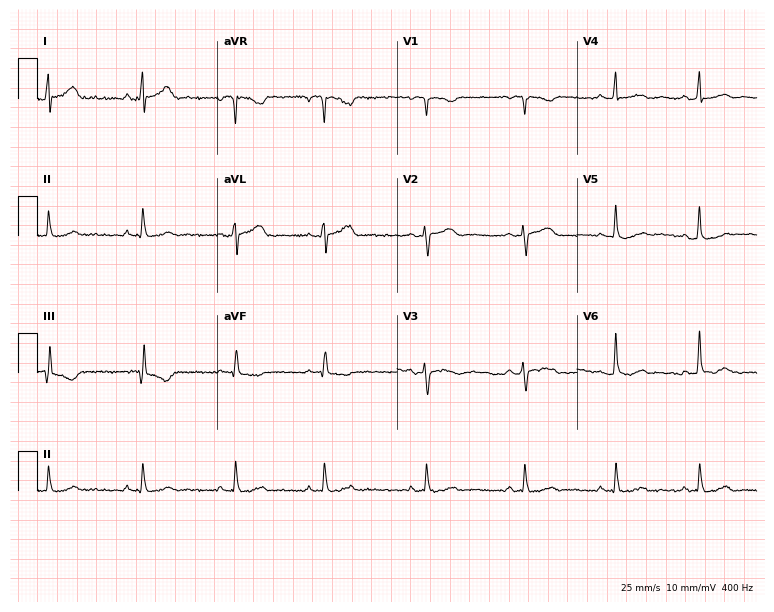
Standard 12-lead ECG recorded from a female patient, 36 years old (7.3-second recording at 400 Hz). None of these six findings is recorded: first-degree AV block, right bundle branch block, left bundle branch block, sinus bradycardia, atrial fibrillation, sinus tachycardia.